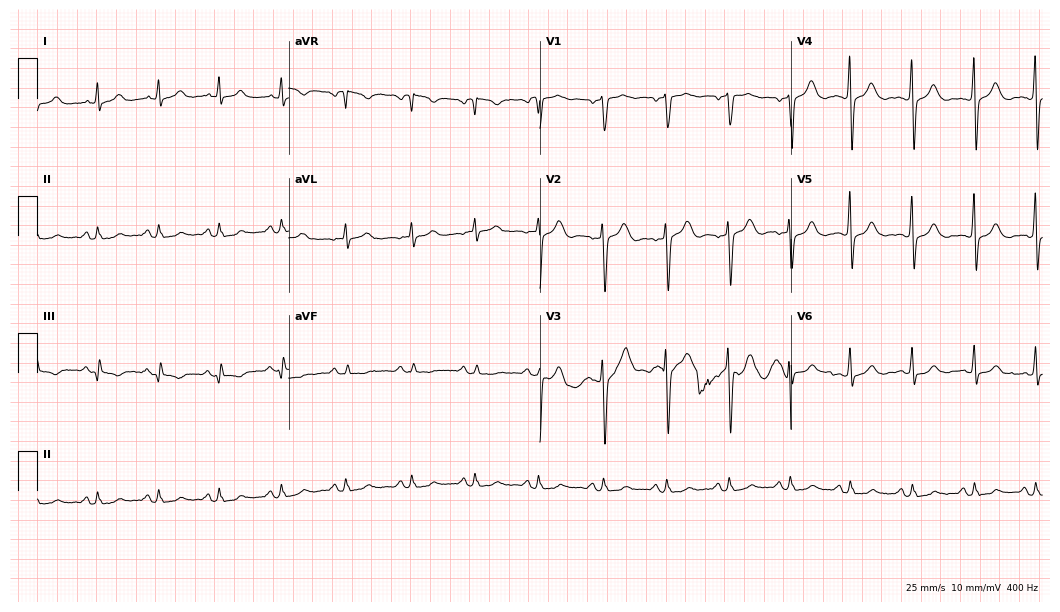
Standard 12-lead ECG recorded from a 40-year-old female (10.2-second recording at 400 Hz). Read as a normal ECG.